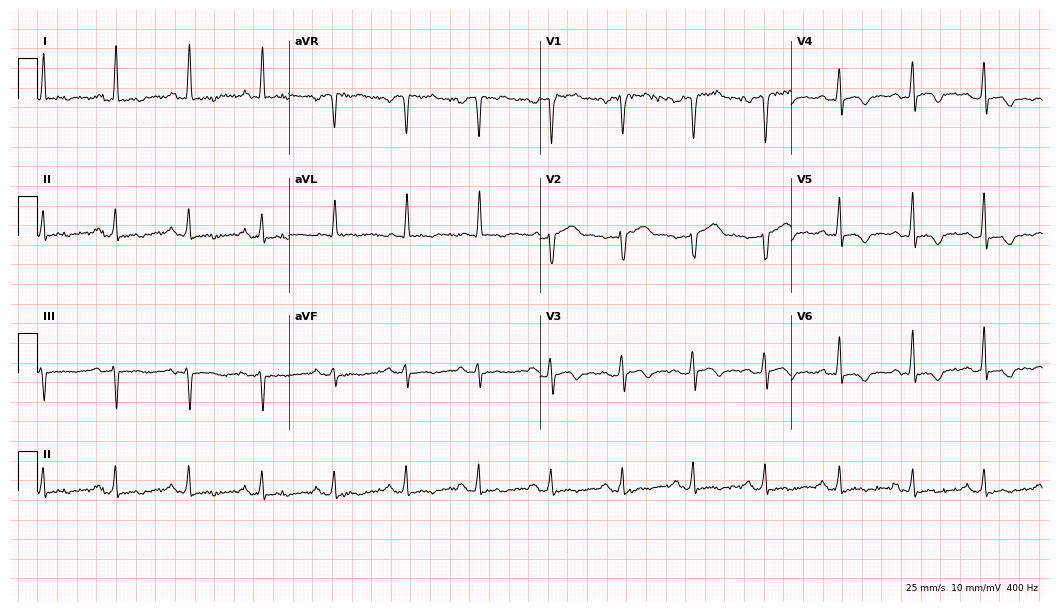
12-lead ECG from a 52-year-old man. No first-degree AV block, right bundle branch block, left bundle branch block, sinus bradycardia, atrial fibrillation or sinus tachycardia recorded for this tracing. Other findings, if any, are not listed.